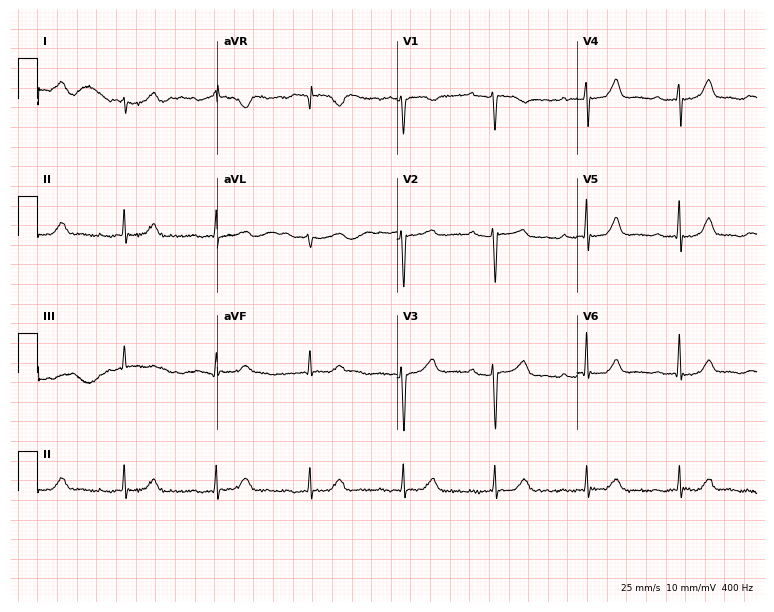
Resting 12-lead electrocardiogram (7.3-second recording at 400 Hz). Patient: a female, 75 years old. The tracing shows first-degree AV block.